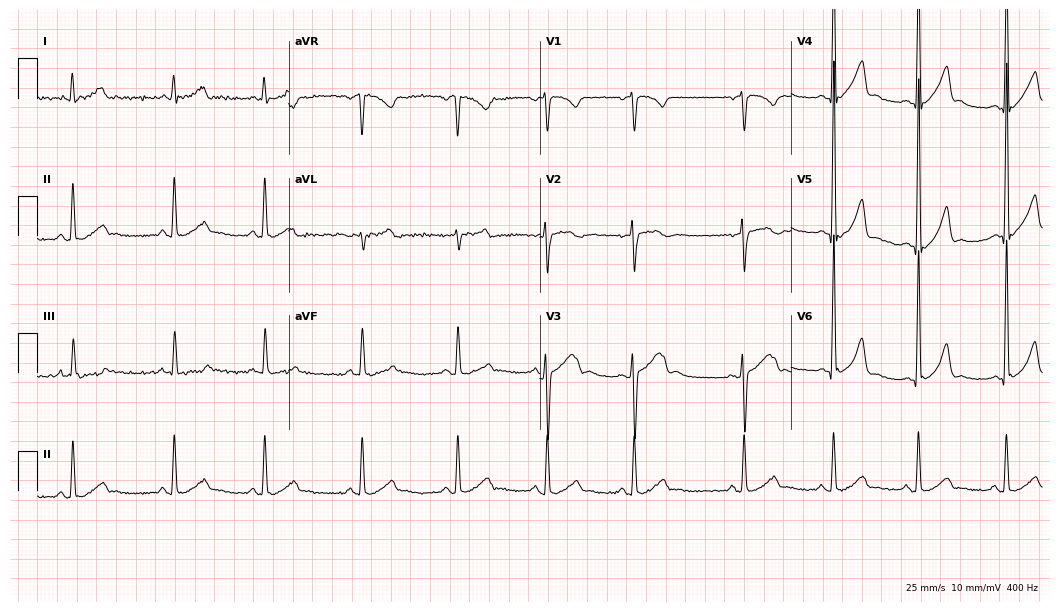
Electrocardiogram (10.2-second recording at 400 Hz), a 21-year-old male. Overall reading on record: normal ECG.